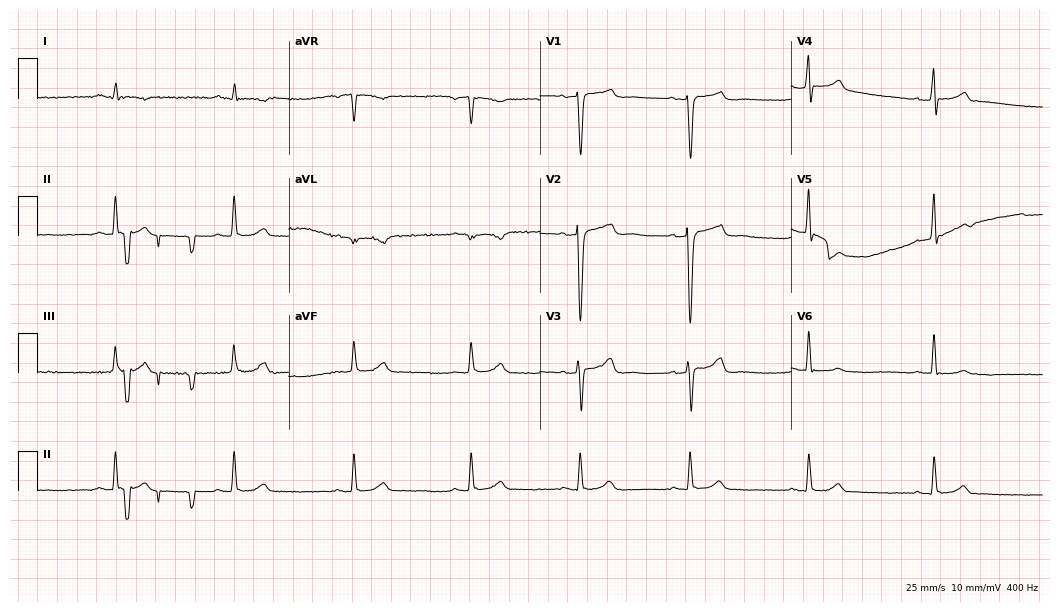
ECG — a 60-year-old male patient. Screened for six findings — first-degree AV block, right bundle branch block (RBBB), left bundle branch block (LBBB), sinus bradycardia, atrial fibrillation (AF), sinus tachycardia — none is recorded.